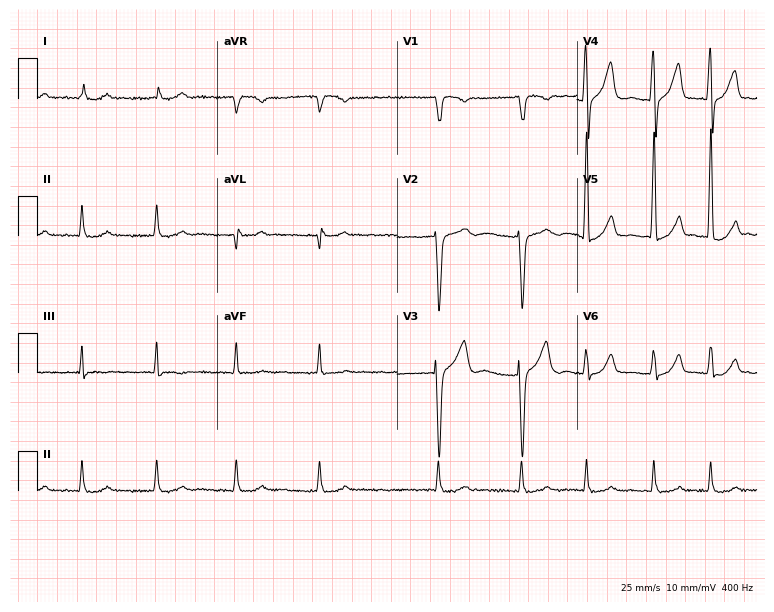
Resting 12-lead electrocardiogram. Patient: a 52-year-old female. The tracing shows atrial fibrillation.